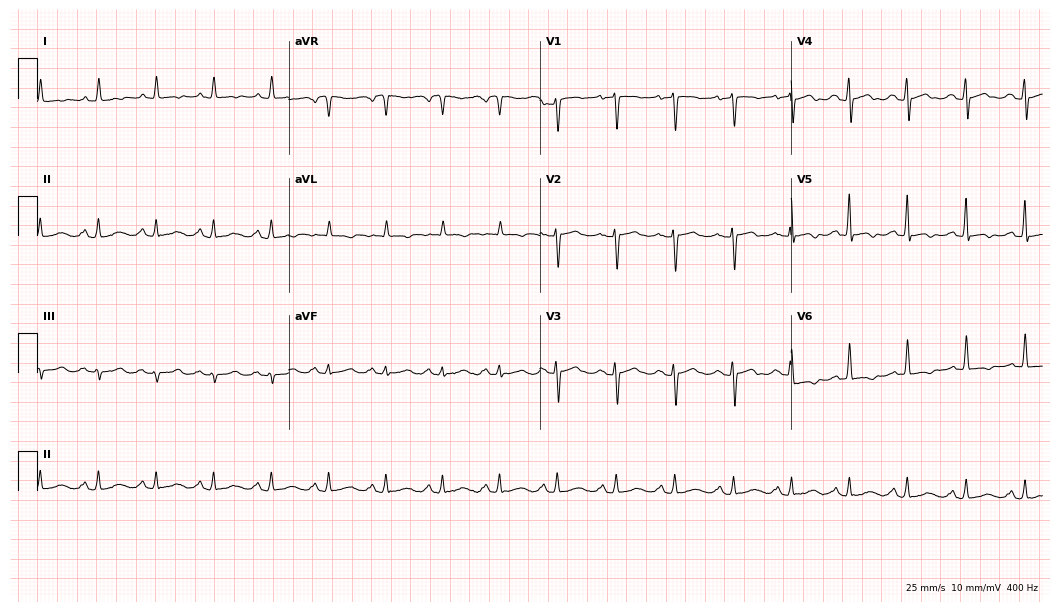
Standard 12-lead ECG recorded from a 68-year-old woman. The tracing shows sinus tachycardia (a sinus rate of 100 beats per minute or more).